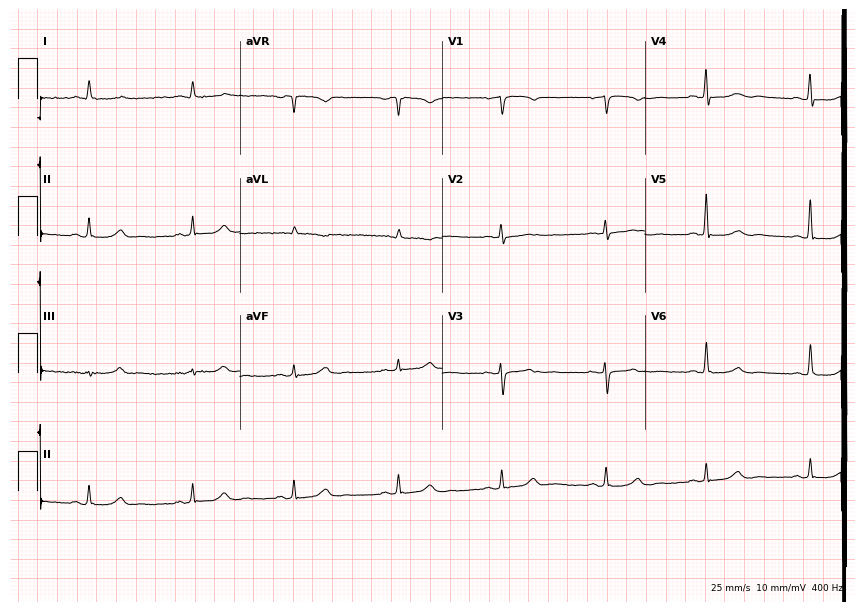
12-lead ECG from a 71-year-old female patient. Labelled as a normal ECG.